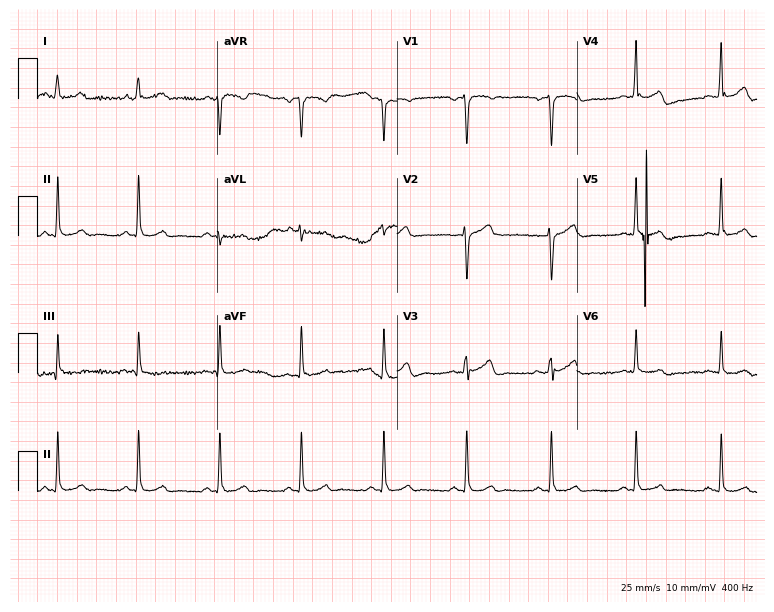
Electrocardiogram, a man, 57 years old. Overall reading on record: normal ECG.